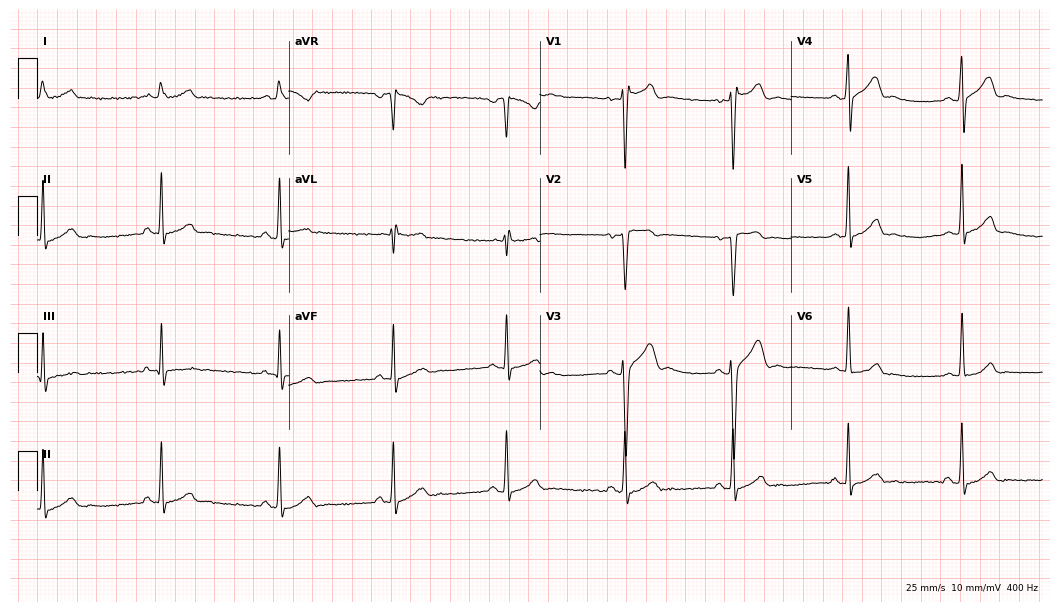
Resting 12-lead electrocardiogram (10.2-second recording at 400 Hz). Patient: a 26-year-old male. None of these six findings is recorded: first-degree AV block, right bundle branch block (RBBB), left bundle branch block (LBBB), sinus bradycardia, atrial fibrillation (AF), sinus tachycardia. Findings outside these six are not listed.